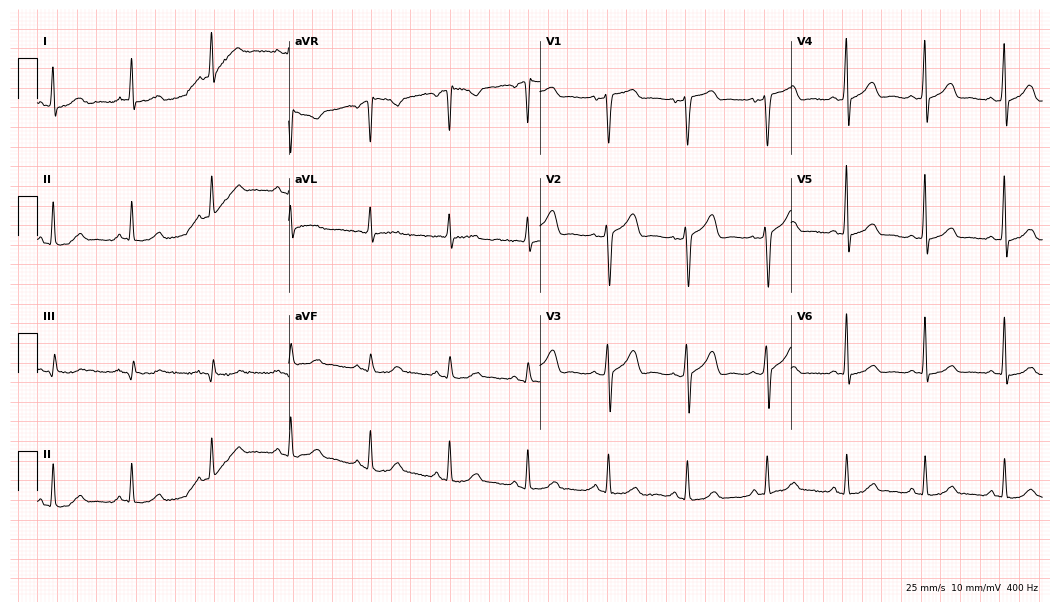
12-lead ECG from a 42-year-old man. Screened for six findings — first-degree AV block, right bundle branch block, left bundle branch block, sinus bradycardia, atrial fibrillation, sinus tachycardia — none is recorded.